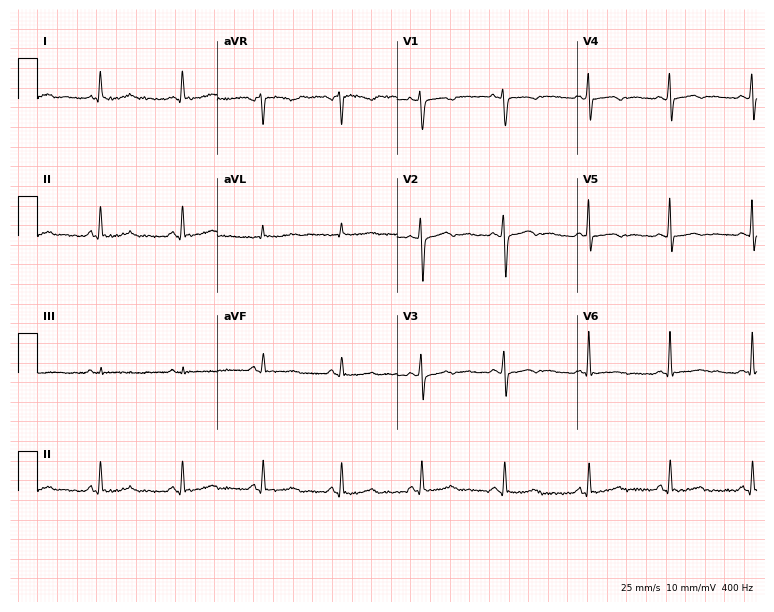
Electrocardiogram (7.3-second recording at 400 Hz), a 43-year-old female patient. Of the six screened findings (first-degree AV block, right bundle branch block, left bundle branch block, sinus bradycardia, atrial fibrillation, sinus tachycardia), none is recorded.